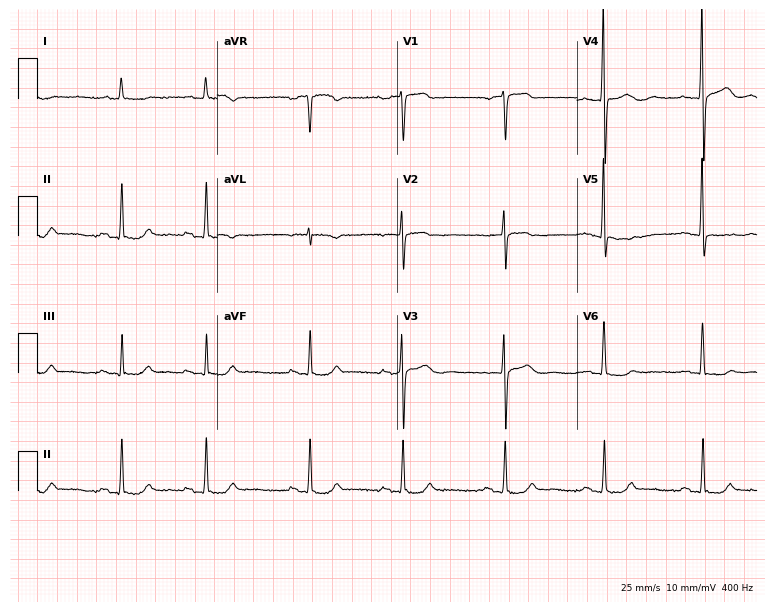
Electrocardiogram (7.3-second recording at 400 Hz), a 75-year-old male patient. Overall reading on record: normal ECG.